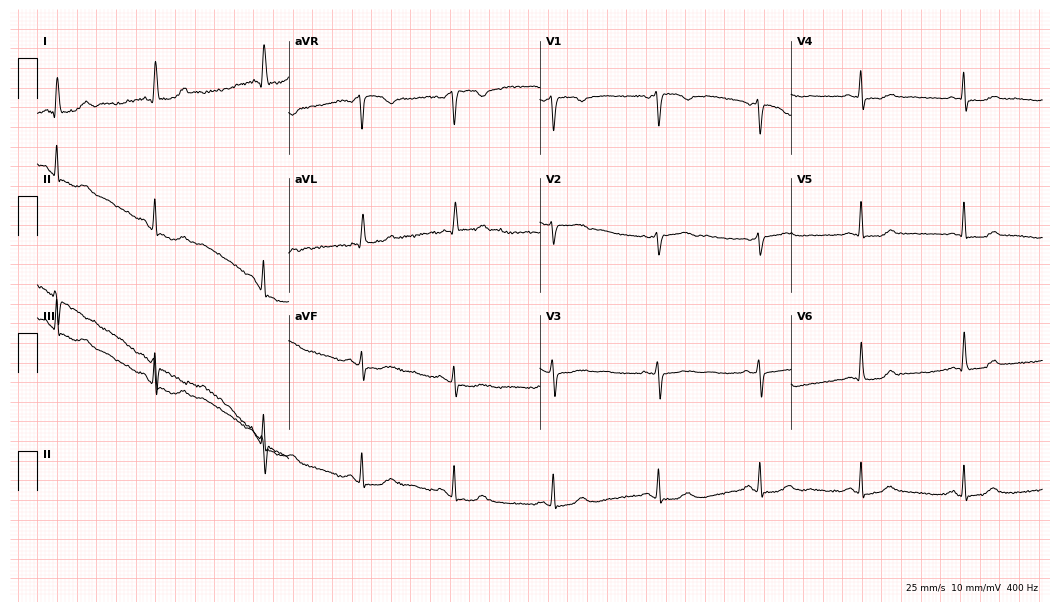
Standard 12-lead ECG recorded from a 56-year-old female patient (10.2-second recording at 400 Hz). None of these six findings is recorded: first-degree AV block, right bundle branch block, left bundle branch block, sinus bradycardia, atrial fibrillation, sinus tachycardia. Findings outside these six are not listed.